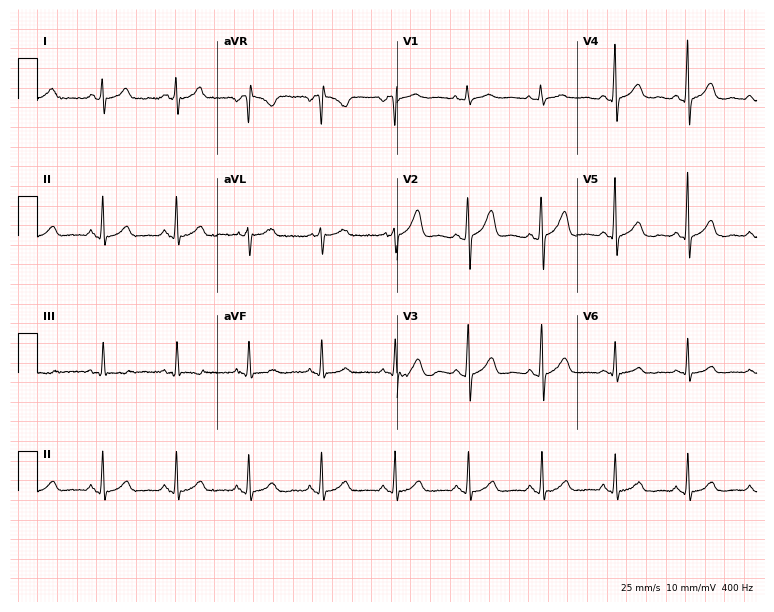
12-lead ECG from a woman, 49 years old. No first-degree AV block, right bundle branch block, left bundle branch block, sinus bradycardia, atrial fibrillation or sinus tachycardia recorded for this tracing.